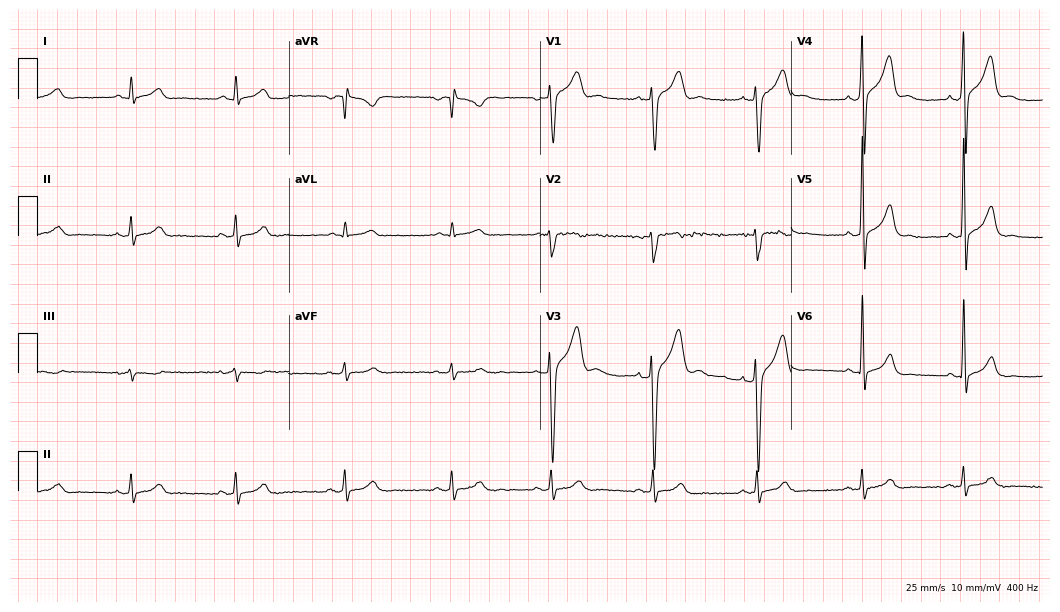
12-lead ECG (10.2-second recording at 400 Hz) from a male, 31 years old. Screened for six findings — first-degree AV block, right bundle branch block (RBBB), left bundle branch block (LBBB), sinus bradycardia, atrial fibrillation (AF), sinus tachycardia — none is recorded.